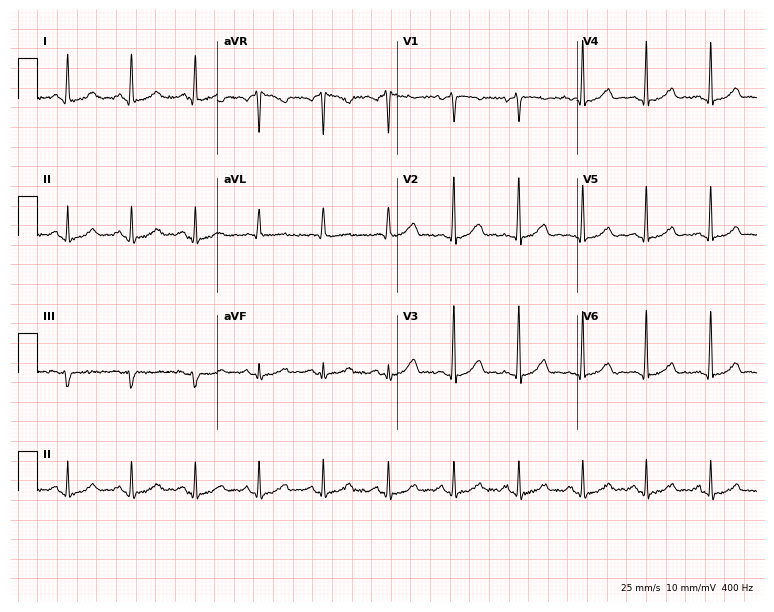
12-lead ECG from a female, 47 years old (7.3-second recording at 400 Hz). Recorded interpretation: within normal limits.